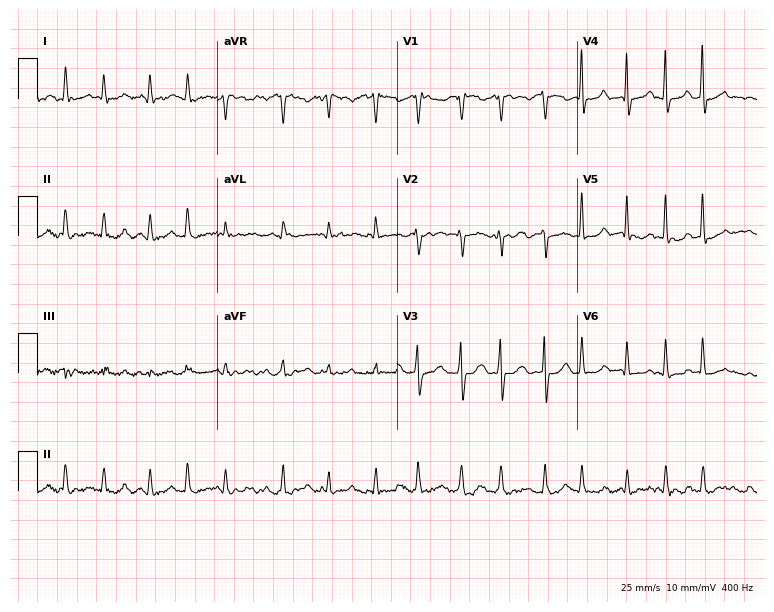
ECG — a 68-year-old woman. Findings include atrial fibrillation (AF).